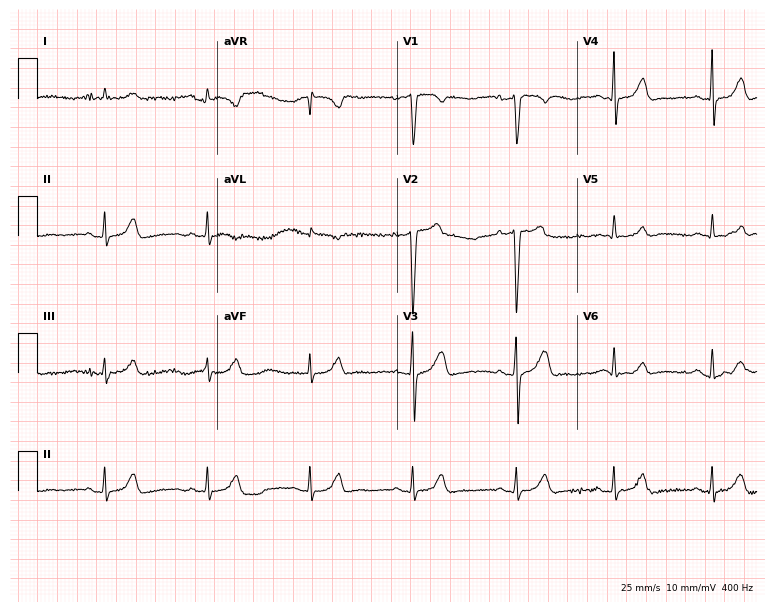
12-lead ECG from a male patient, 25 years old (7.3-second recording at 400 Hz). Recorded interpretation: within normal limits.